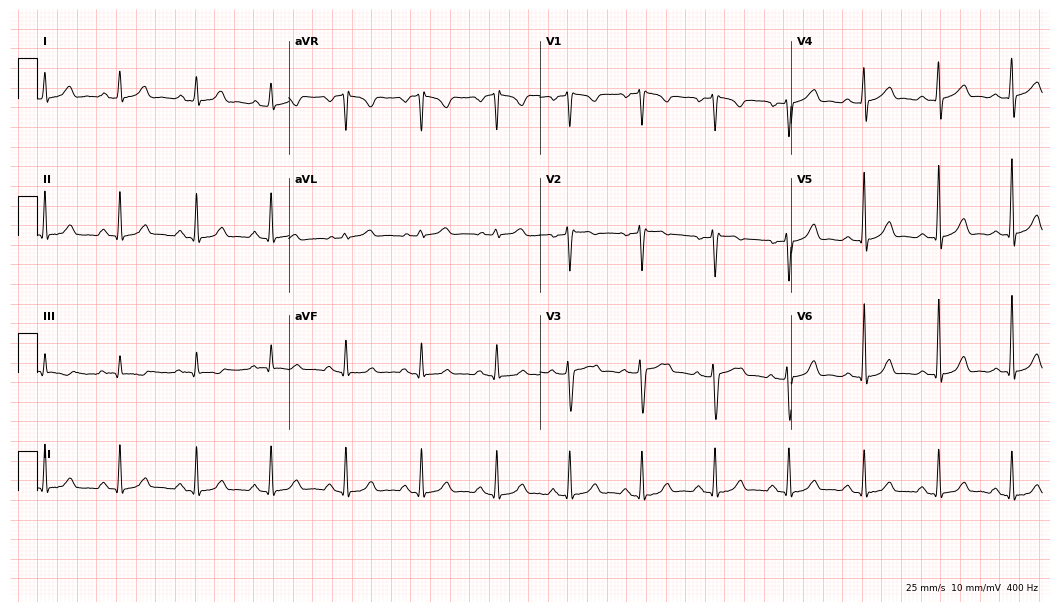
Resting 12-lead electrocardiogram. Patient: a female, 35 years old. Read as a normal ECG.